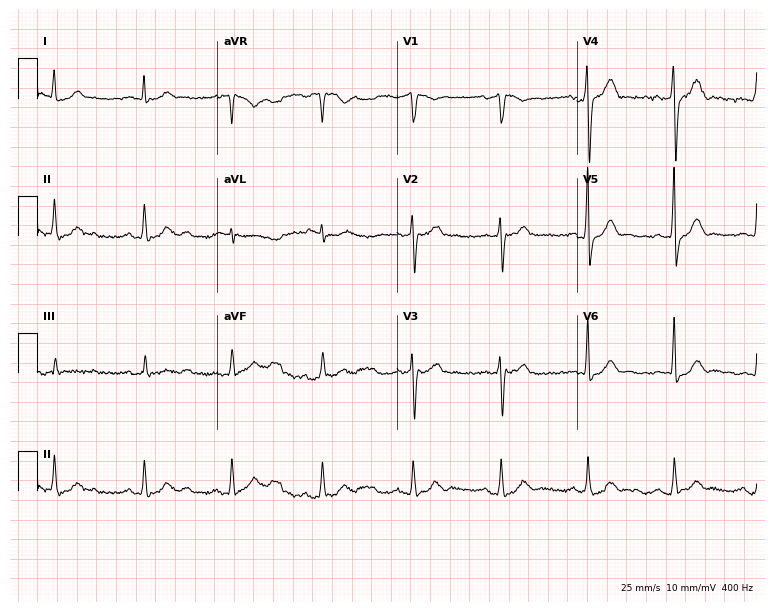
Standard 12-lead ECG recorded from a male, 44 years old (7.3-second recording at 400 Hz). None of these six findings is recorded: first-degree AV block, right bundle branch block, left bundle branch block, sinus bradycardia, atrial fibrillation, sinus tachycardia.